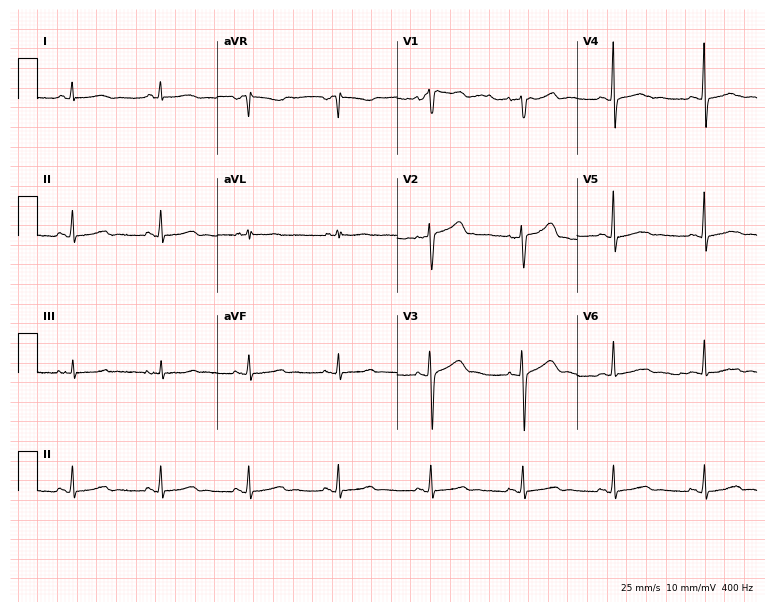
12-lead ECG from a 50-year-old woman (7.3-second recording at 400 Hz). No first-degree AV block, right bundle branch block, left bundle branch block, sinus bradycardia, atrial fibrillation or sinus tachycardia recorded for this tracing. Only these six findings were labelled.